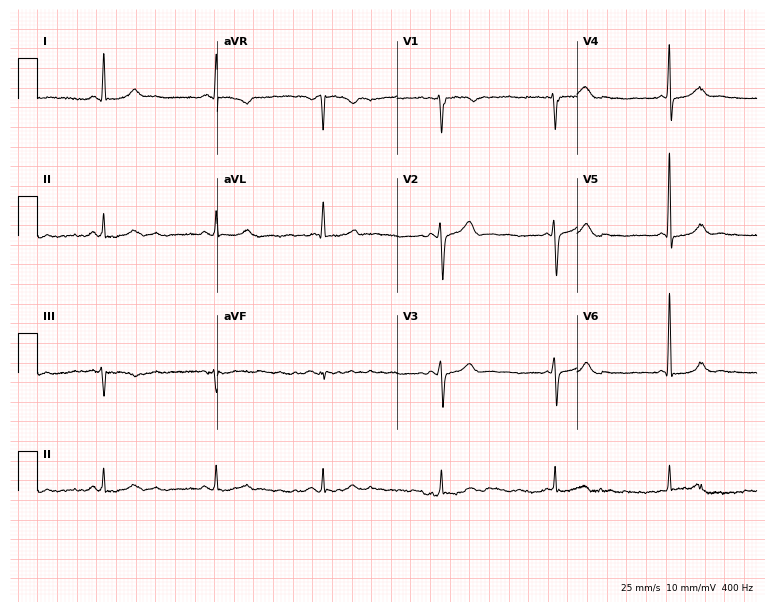
ECG — a 62-year-old male patient. Labelled as a normal ECG.